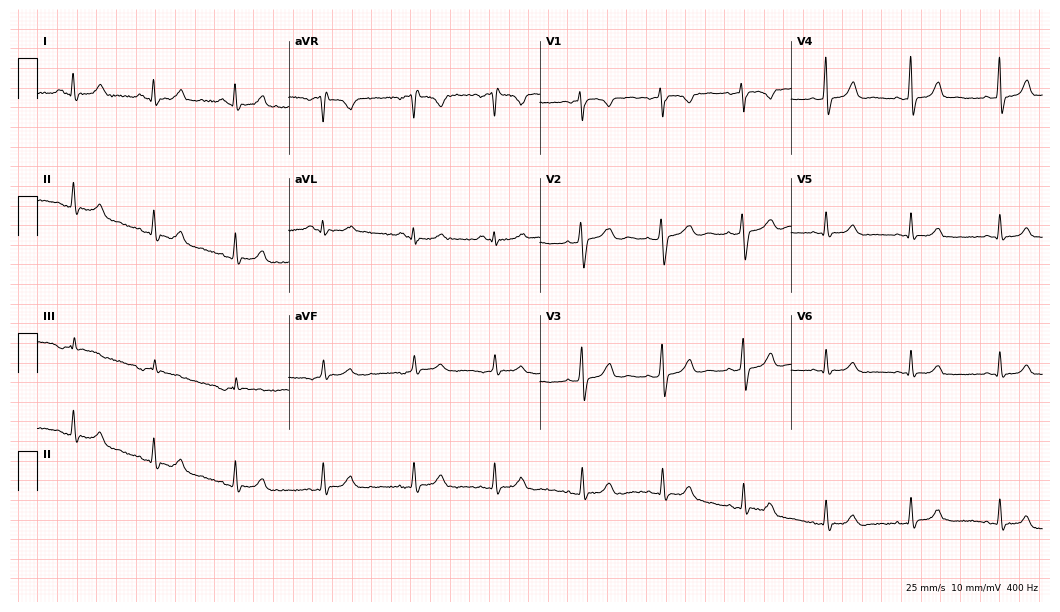
Resting 12-lead electrocardiogram (10.2-second recording at 400 Hz). Patient: a 22-year-old female. Read as a normal ECG.